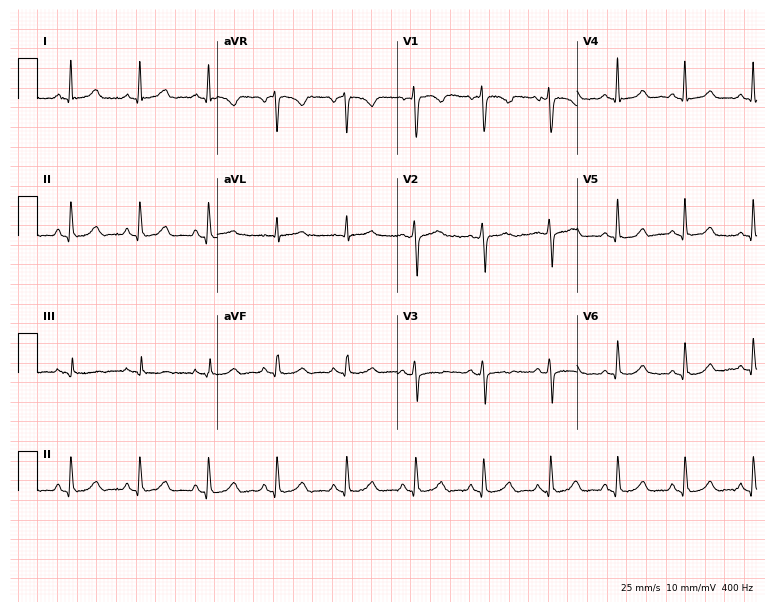
Resting 12-lead electrocardiogram. Patient: a 41-year-old female. Read as a normal ECG.